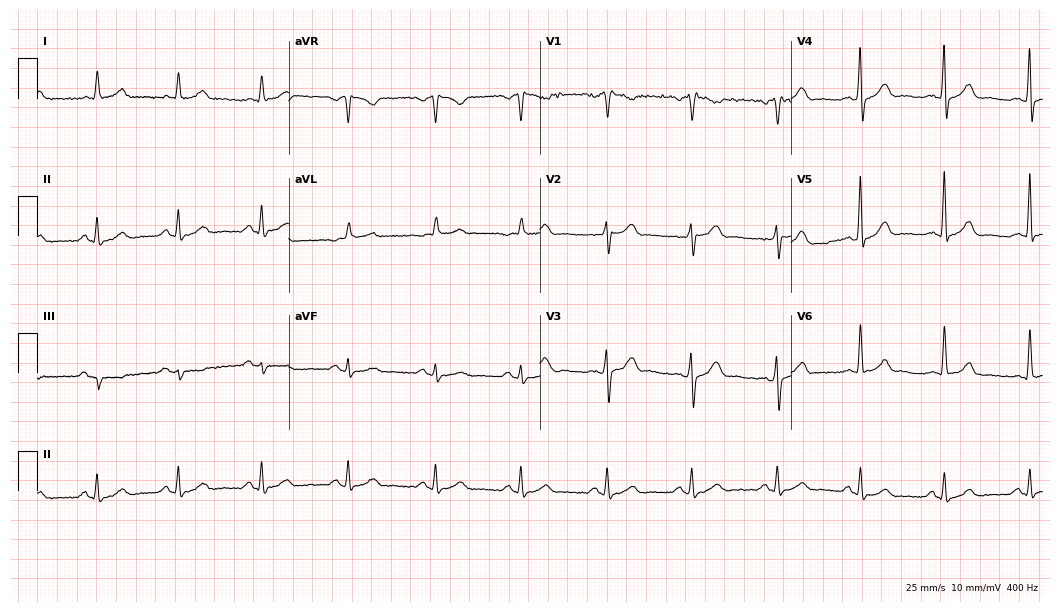
Standard 12-lead ECG recorded from a 74-year-old man. None of these six findings is recorded: first-degree AV block, right bundle branch block, left bundle branch block, sinus bradycardia, atrial fibrillation, sinus tachycardia. Only these six findings were labelled.